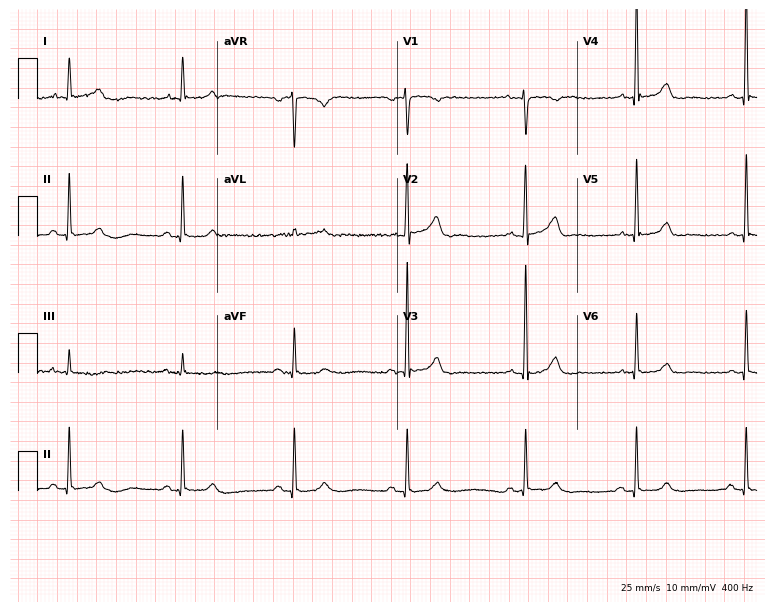
ECG (7.3-second recording at 400 Hz) — a 38-year-old female. Screened for six findings — first-degree AV block, right bundle branch block, left bundle branch block, sinus bradycardia, atrial fibrillation, sinus tachycardia — none is recorded. Findings outside these six are not listed.